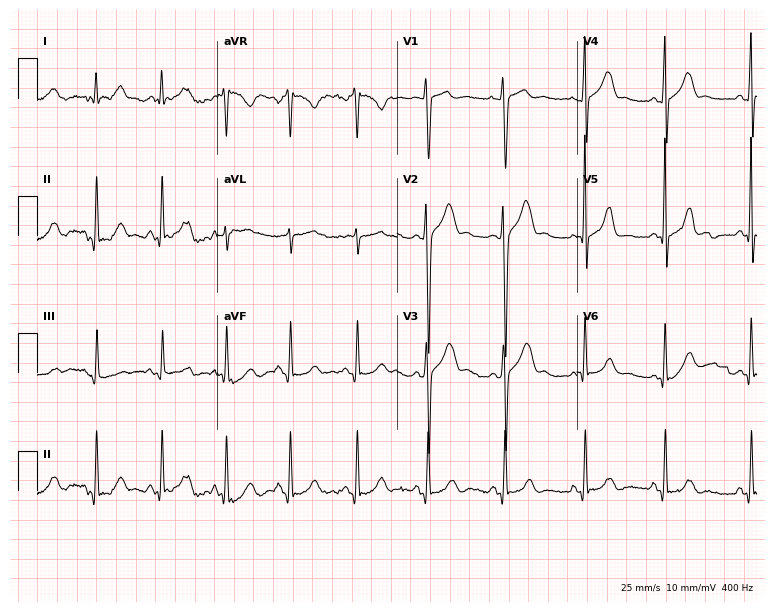
Electrocardiogram, a 32-year-old man. Overall reading on record: normal ECG.